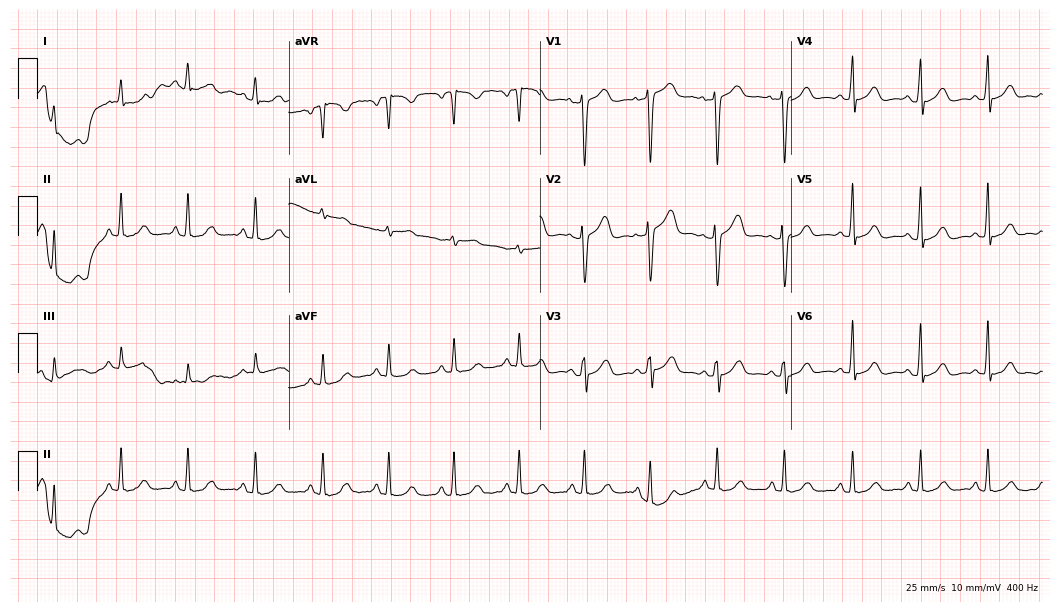
12-lead ECG from a female patient, 60 years old (10.2-second recording at 400 Hz). Recorded interpretation: within normal limits.